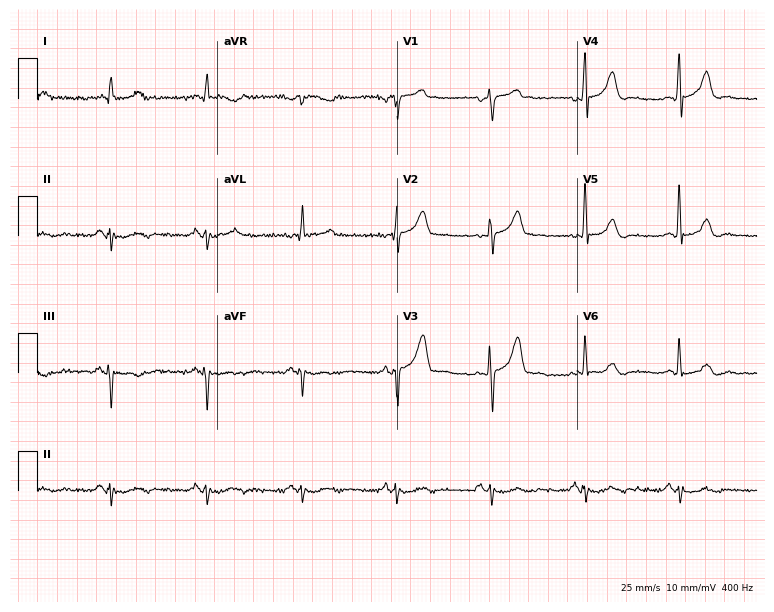
Electrocardiogram, a male, 69 years old. Of the six screened findings (first-degree AV block, right bundle branch block (RBBB), left bundle branch block (LBBB), sinus bradycardia, atrial fibrillation (AF), sinus tachycardia), none is recorded. Only these six findings were labelled.